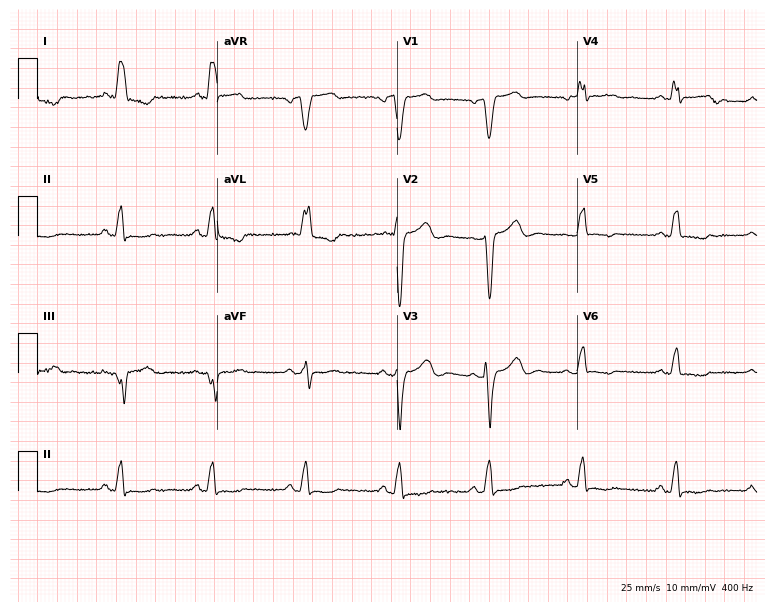
ECG — a female patient, 73 years old. Findings include left bundle branch block.